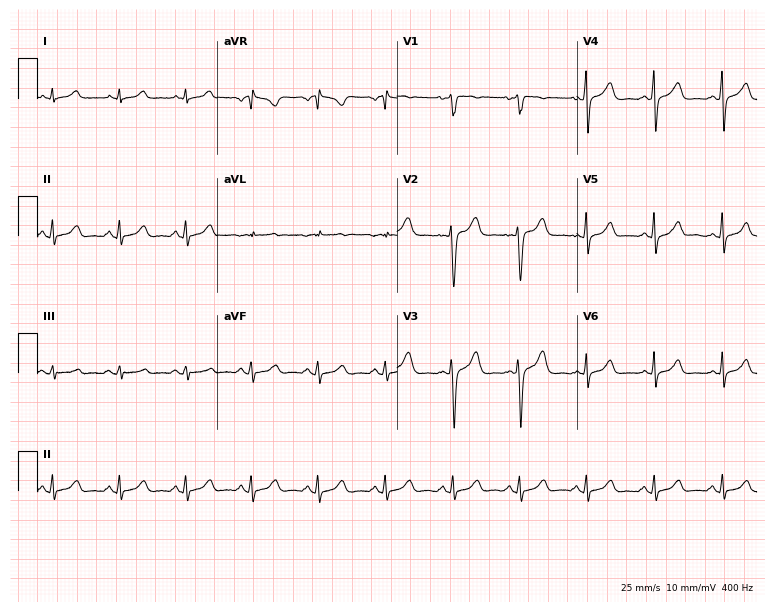
ECG — a woman, 34 years old. Screened for six findings — first-degree AV block, right bundle branch block, left bundle branch block, sinus bradycardia, atrial fibrillation, sinus tachycardia — none is recorded. Only these six findings were labelled.